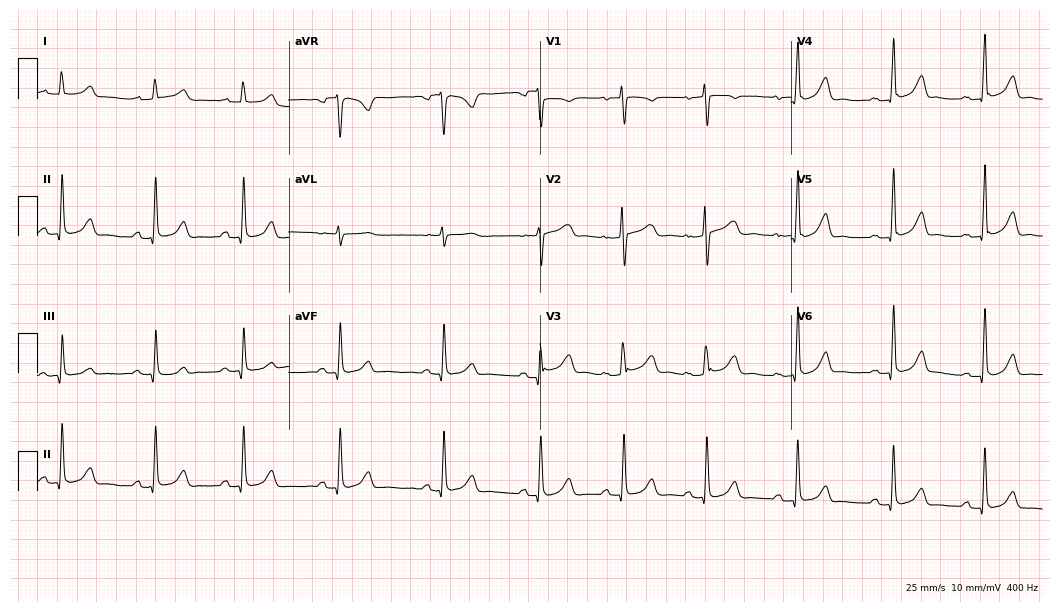
12-lead ECG from a 27-year-old female patient (10.2-second recording at 400 Hz). Recorded interpretation: within normal limits.